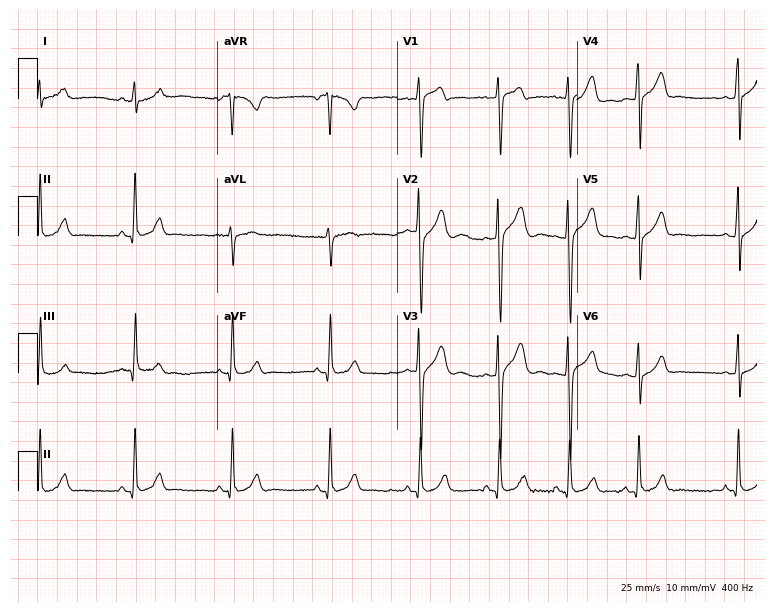
12-lead ECG from a male patient, 21 years old (7.3-second recording at 400 Hz). No first-degree AV block, right bundle branch block (RBBB), left bundle branch block (LBBB), sinus bradycardia, atrial fibrillation (AF) or sinus tachycardia recorded for this tracing. Other findings, if any, are not listed.